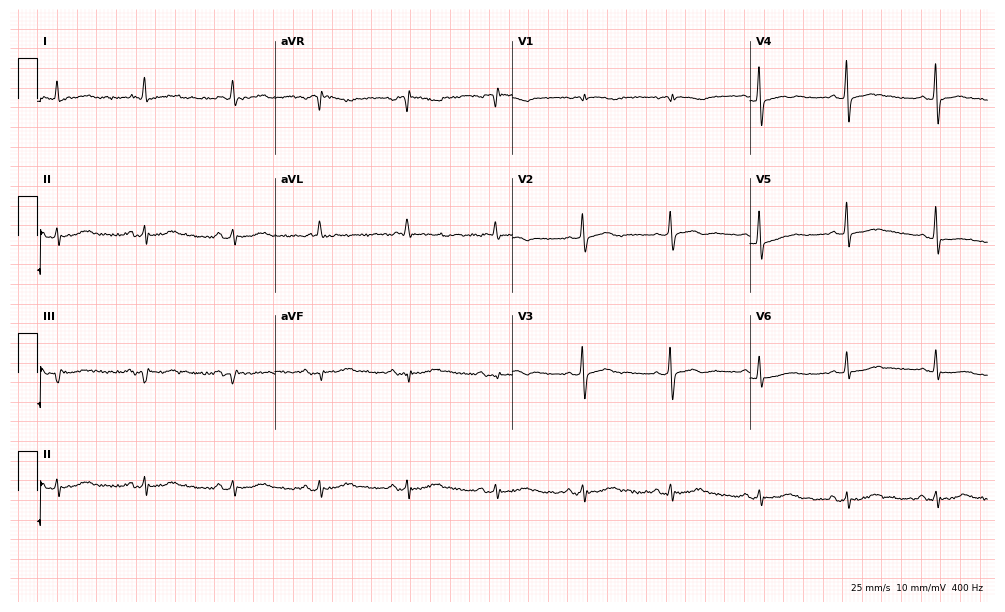
Electrocardiogram (9.7-second recording at 400 Hz), an 83-year-old female. Overall reading on record: normal ECG.